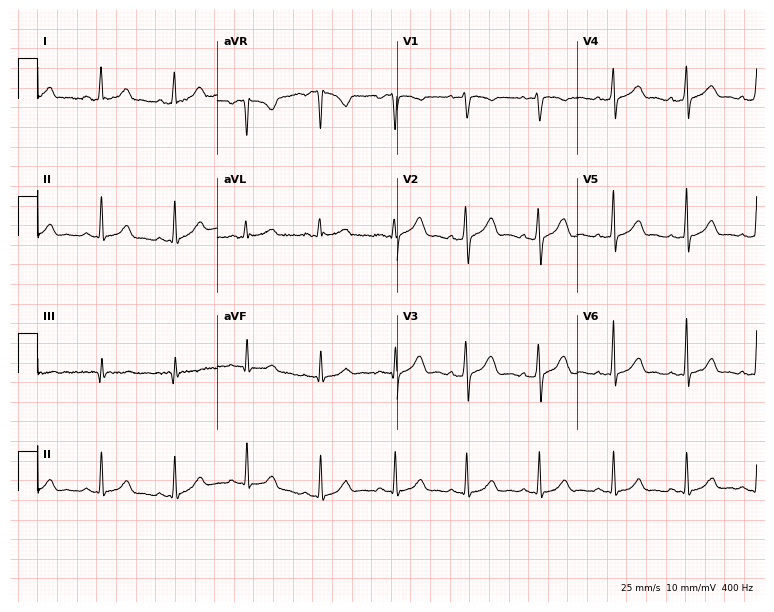
Electrocardiogram (7.3-second recording at 400 Hz), a 27-year-old woman. Overall reading on record: normal ECG.